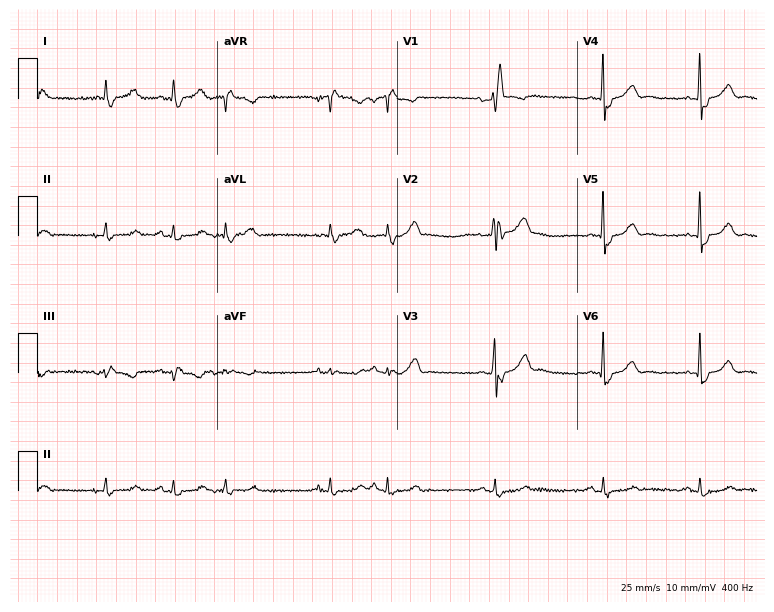
12-lead ECG from a male, 81 years old. Shows right bundle branch block (RBBB).